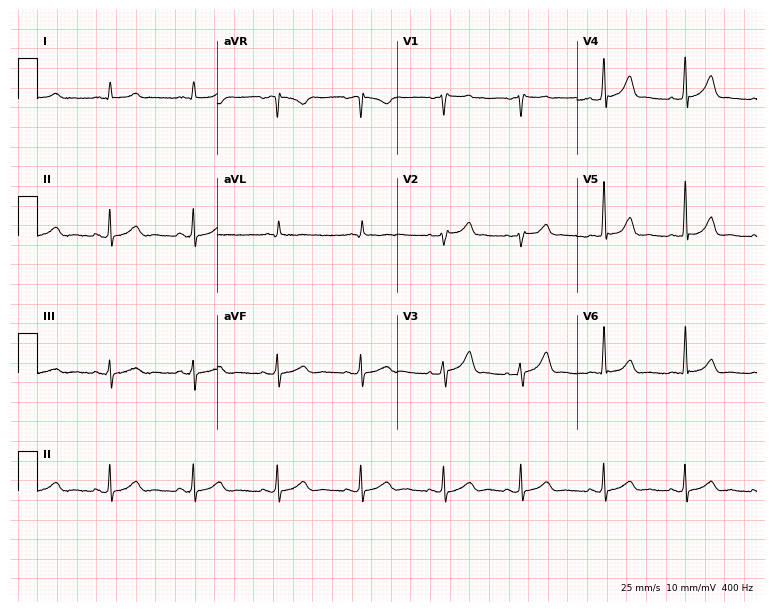
Standard 12-lead ECG recorded from a man, 58 years old (7.3-second recording at 400 Hz). None of these six findings is recorded: first-degree AV block, right bundle branch block, left bundle branch block, sinus bradycardia, atrial fibrillation, sinus tachycardia. Findings outside these six are not listed.